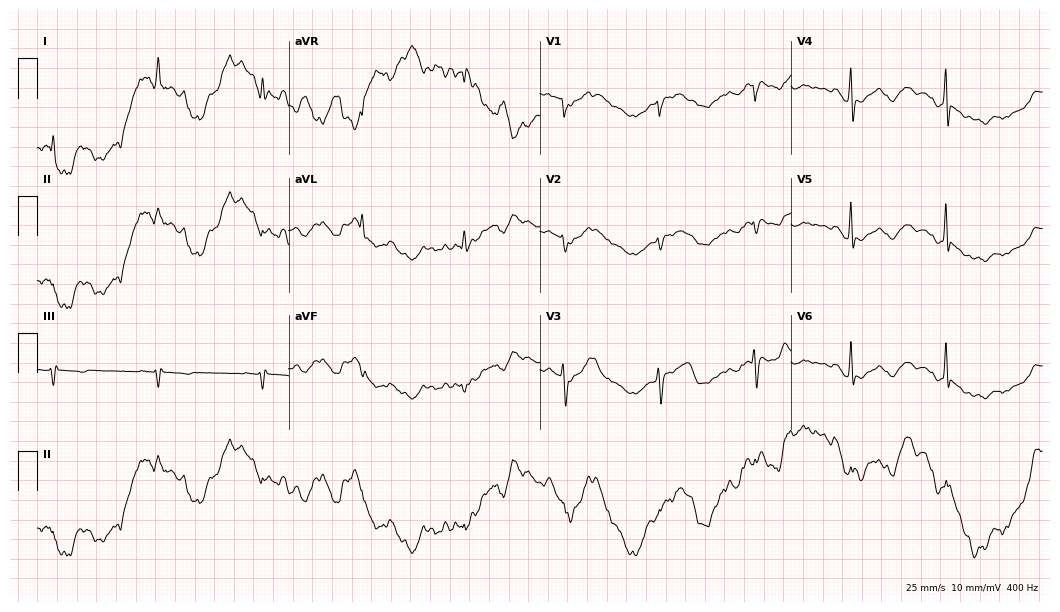
Electrocardiogram, a 51-year-old woman. Of the six screened findings (first-degree AV block, right bundle branch block, left bundle branch block, sinus bradycardia, atrial fibrillation, sinus tachycardia), none is recorded.